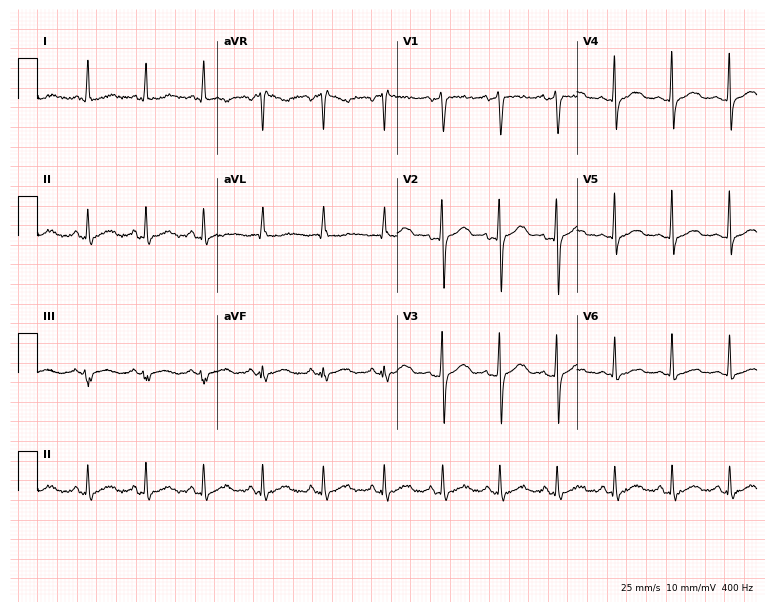
Standard 12-lead ECG recorded from a 28-year-old female. The tracing shows sinus tachycardia (a sinus rate of 100 beats per minute or more).